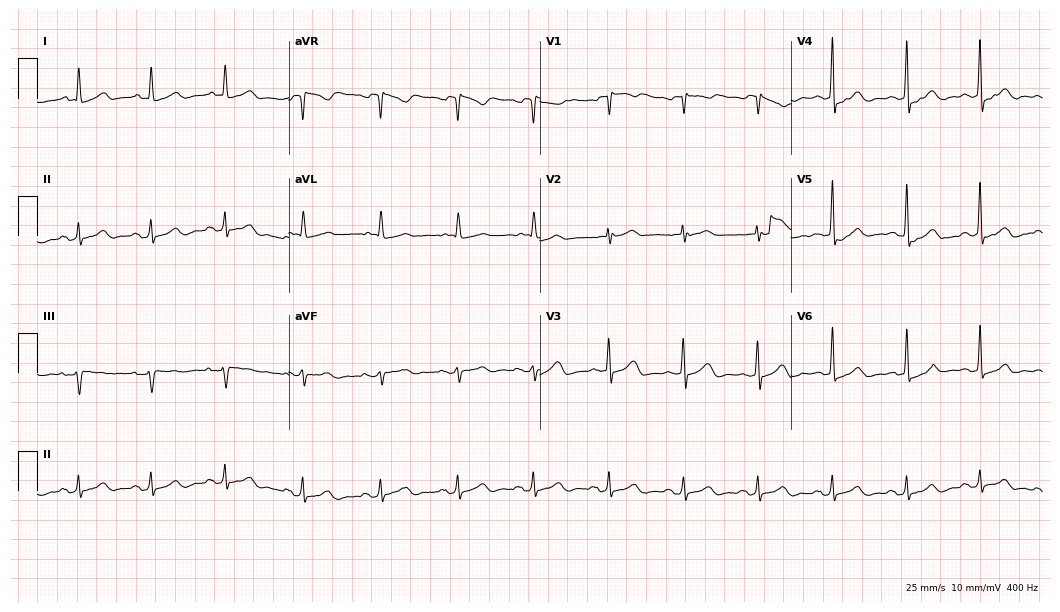
Standard 12-lead ECG recorded from a 68-year-old woman (10.2-second recording at 400 Hz). None of these six findings is recorded: first-degree AV block, right bundle branch block, left bundle branch block, sinus bradycardia, atrial fibrillation, sinus tachycardia. Other findings, if any, are not listed.